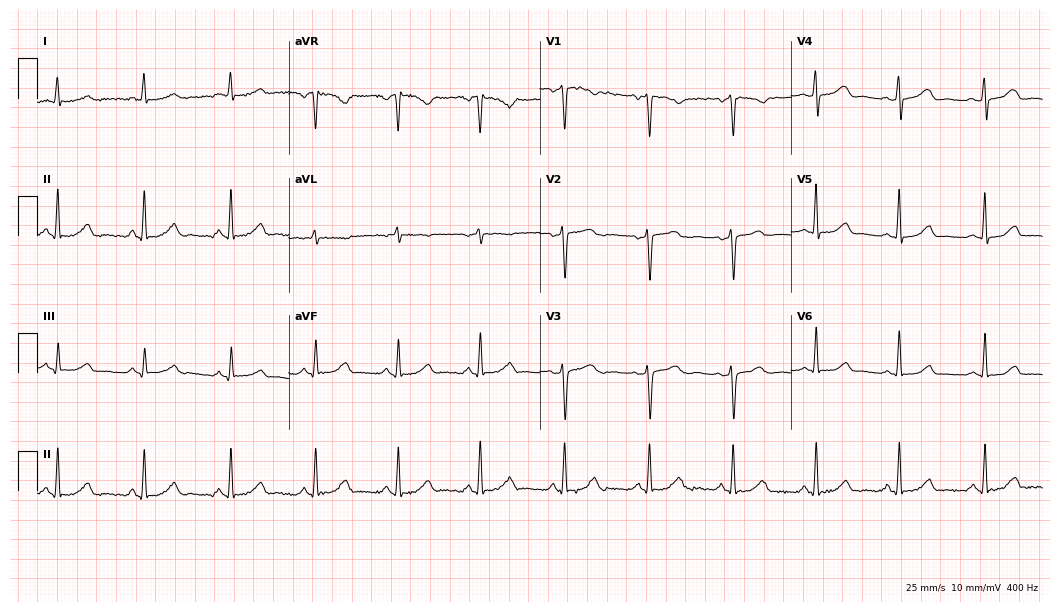
12-lead ECG from a woman, 45 years old. Recorded interpretation: within normal limits.